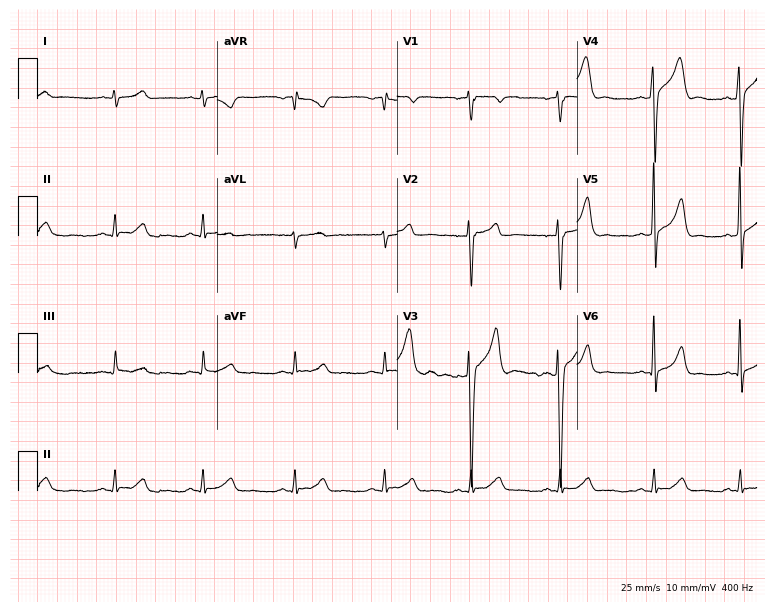
Electrocardiogram, a male patient, 25 years old. Of the six screened findings (first-degree AV block, right bundle branch block (RBBB), left bundle branch block (LBBB), sinus bradycardia, atrial fibrillation (AF), sinus tachycardia), none is recorded.